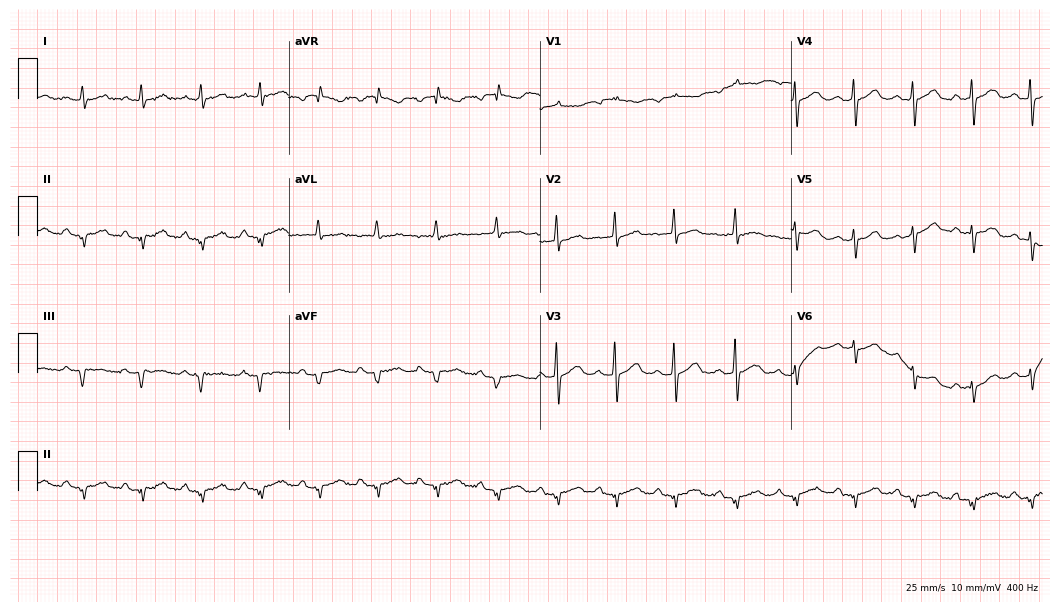
Electrocardiogram, an 83-year-old female. Of the six screened findings (first-degree AV block, right bundle branch block, left bundle branch block, sinus bradycardia, atrial fibrillation, sinus tachycardia), none is recorded.